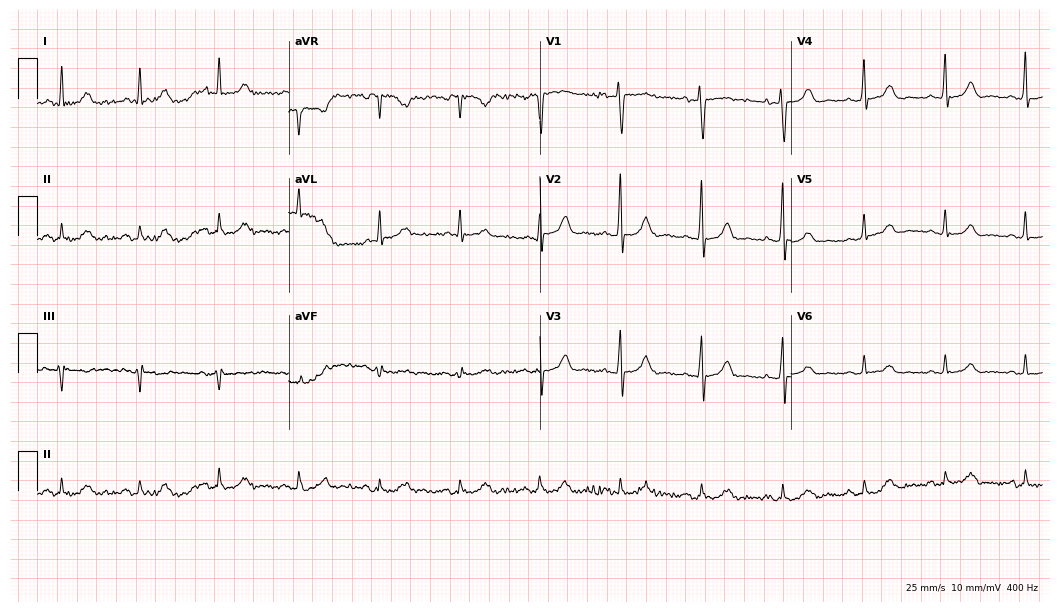
12-lead ECG (10.2-second recording at 400 Hz) from a 74-year-old woman. Labelled as a normal ECG.